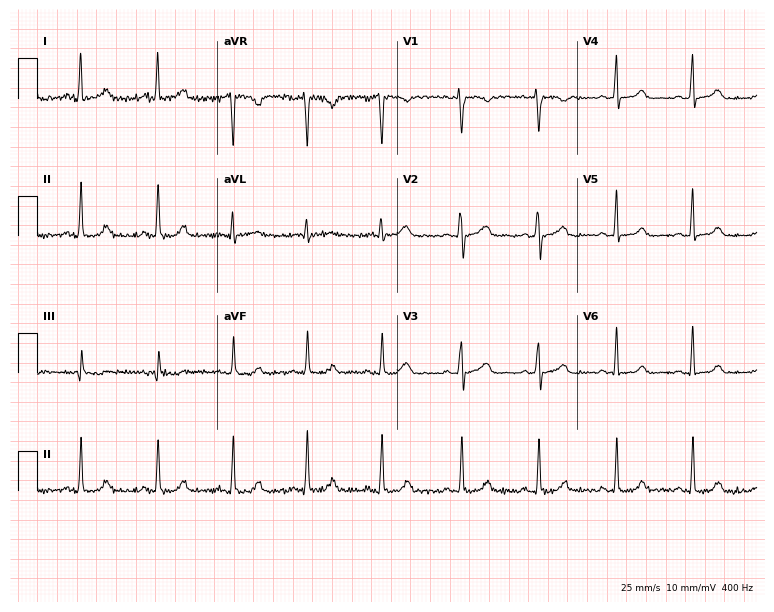
ECG (7.3-second recording at 400 Hz) — a female patient, 34 years old. Labelled as a normal ECG.